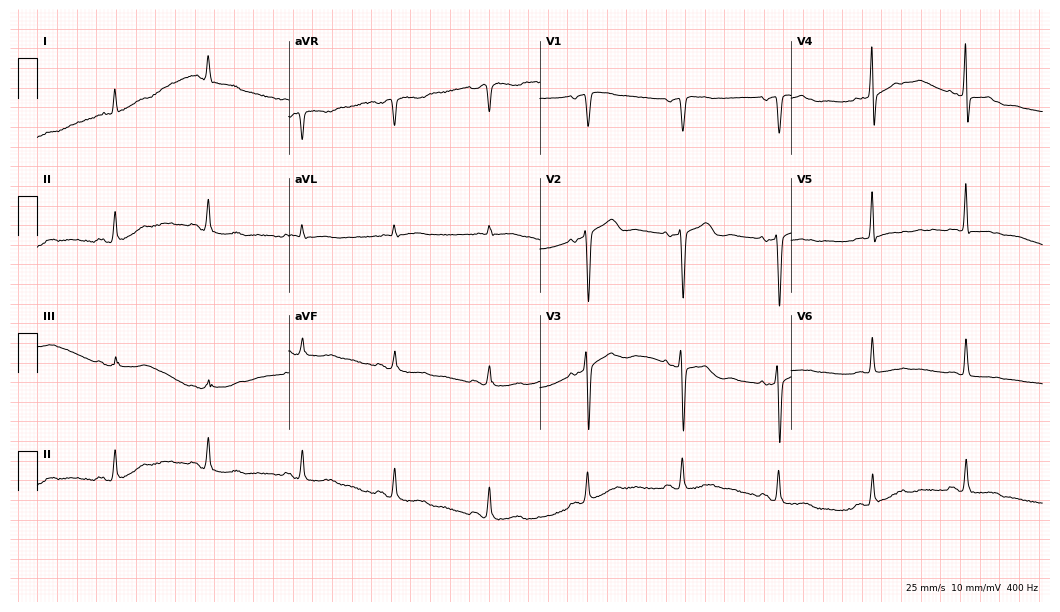
Electrocardiogram (10.2-second recording at 400 Hz), a woman, 58 years old. Of the six screened findings (first-degree AV block, right bundle branch block, left bundle branch block, sinus bradycardia, atrial fibrillation, sinus tachycardia), none is recorded.